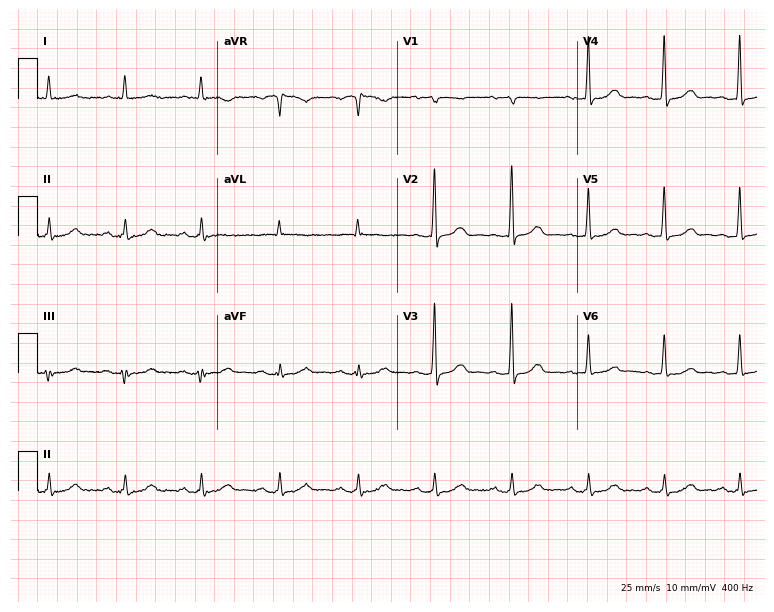
Resting 12-lead electrocardiogram. Patient: a female, 76 years old. Read as a normal ECG.